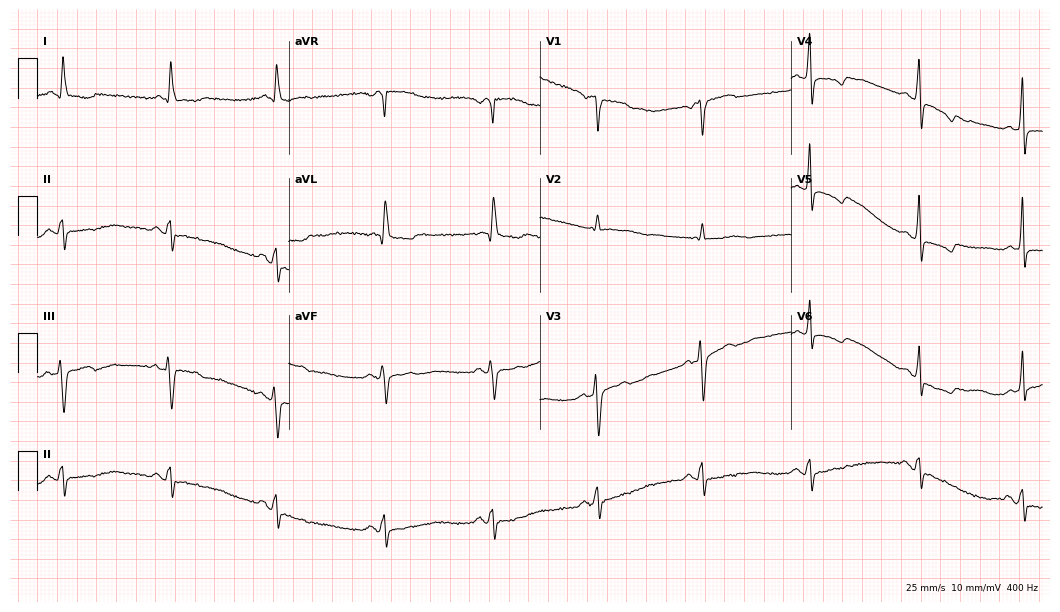
Electrocardiogram (10.2-second recording at 400 Hz), a female patient, 60 years old. Of the six screened findings (first-degree AV block, right bundle branch block, left bundle branch block, sinus bradycardia, atrial fibrillation, sinus tachycardia), none is recorded. Findings outside these six are not listed.